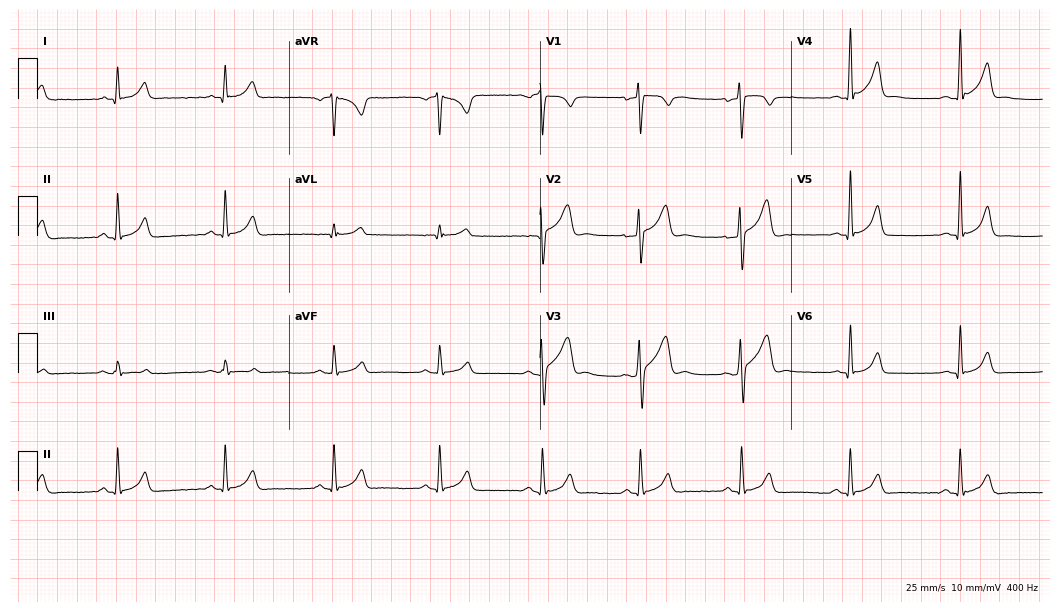
ECG — a male, 23 years old. Labelled as a normal ECG.